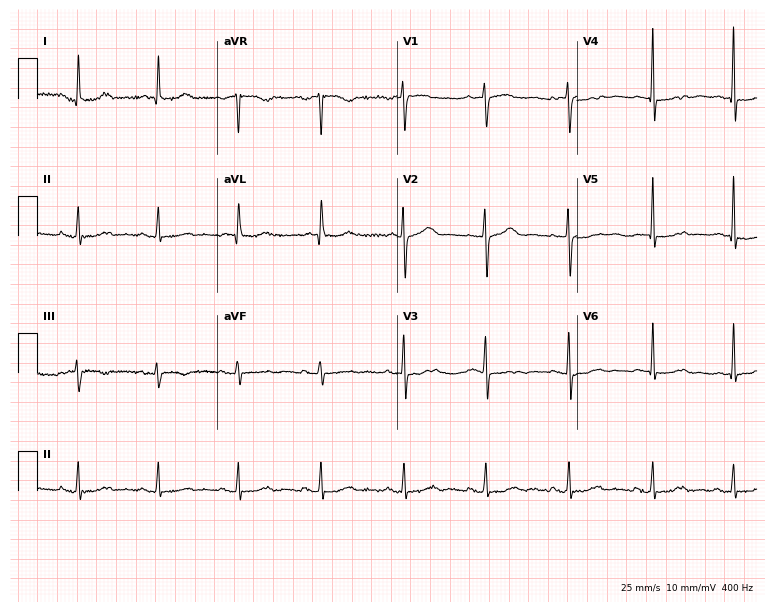
12-lead ECG from an 82-year-old female (7.3-second recording at 400 Hz). No first-degree AV block, right bundle branch block, left bundle branch block, sinus bradycardia, atrial fibrillation or sinus tachycardia recorded for this tracing.